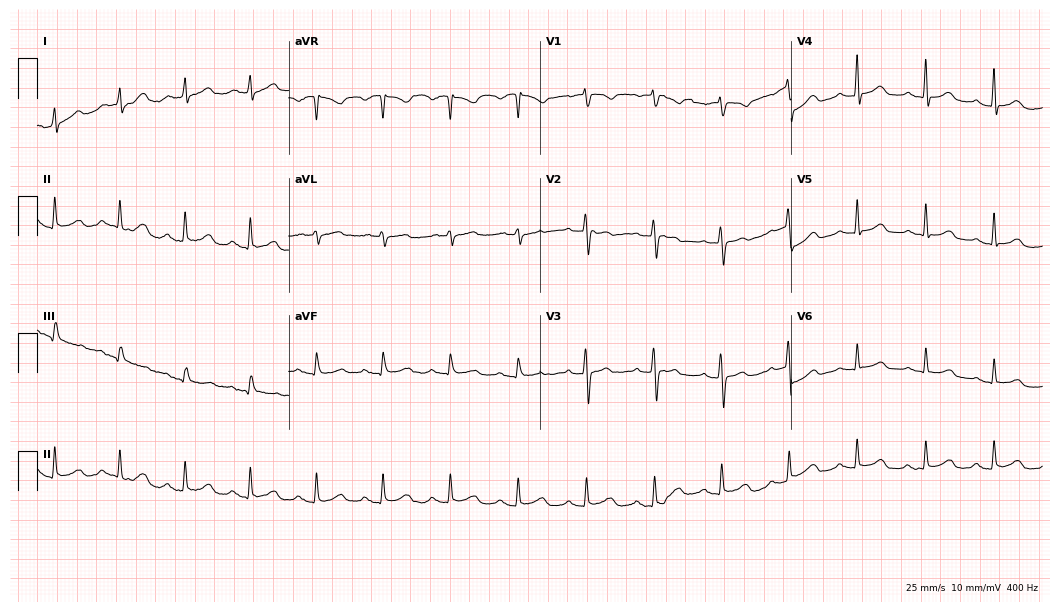
Standard 12-lead ECG recorded from a 65-year-old female (10.2-second recording at 400 Hz). Read as a normal ECG.